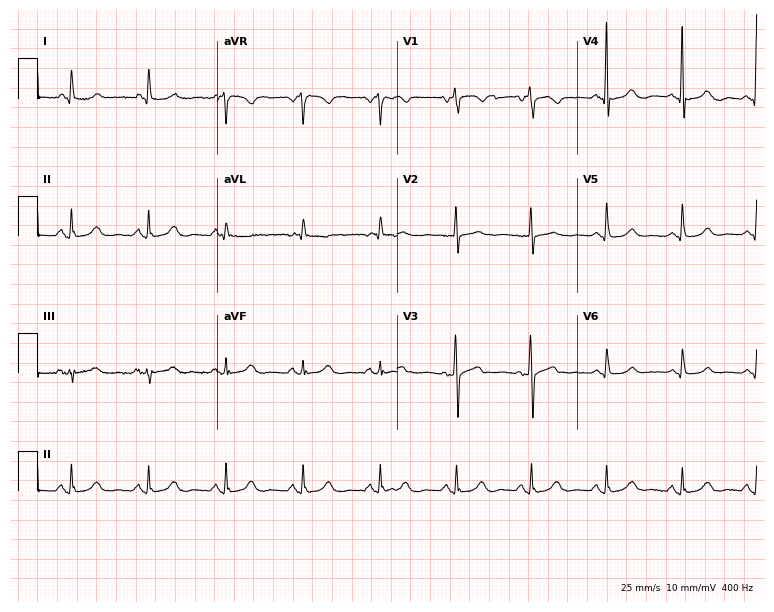
Electrocardiogram (7.3-second recording at 400 Hz), an 85-year-old woman. Of the six screened findings (first-degree AV block, right bundle branch block, left bundle branch block, sinus bradycardia, atrial fibrillation, sinus tachycardia), none is recorded. Other findings, if any, are not listed.